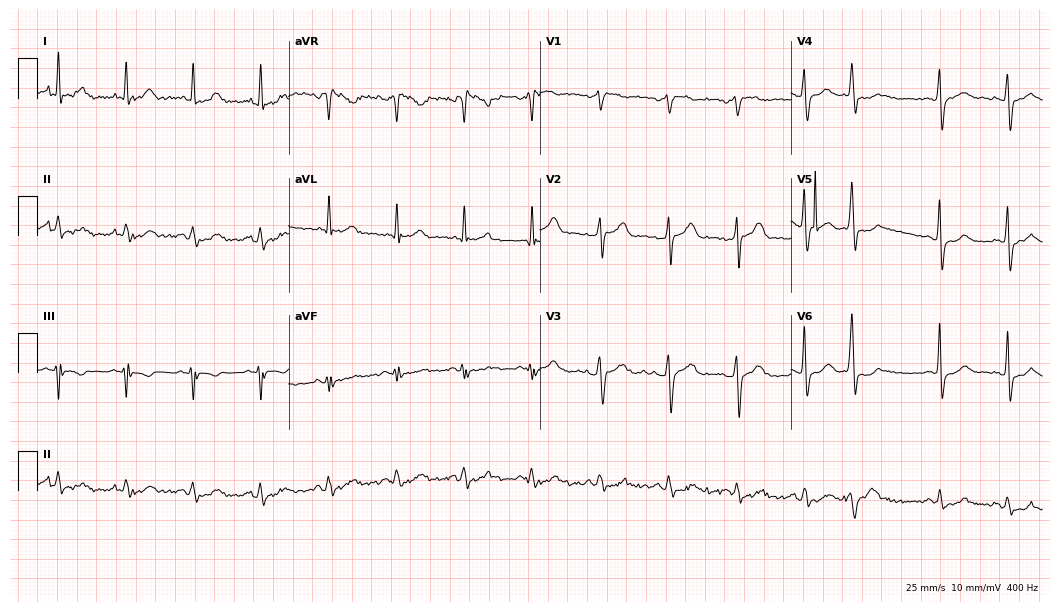
Standard 12-lead ECG recorded from a 74-year-old man (10.2-second recording at 400 Hz). None of these six findings is recorded: first-degree AV block, right bundle branch block, left bundle branch block, sinus bradycardia, atrial fibrillation, sinus tachycardia.